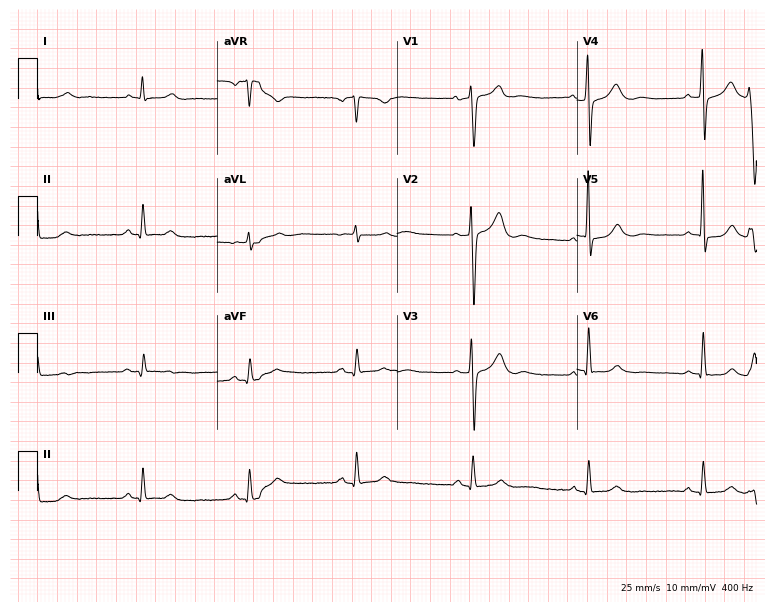
Resting 12-lead electrocardiogram (7.3-second recording at 400 Hz). Patient: a 64-year-old male. None of these six findings is recorded: first-degree AV block, right bundle branch block, left bundle branch block, sinus bradycardia, atrial fibrillation, sinus tachycardia.